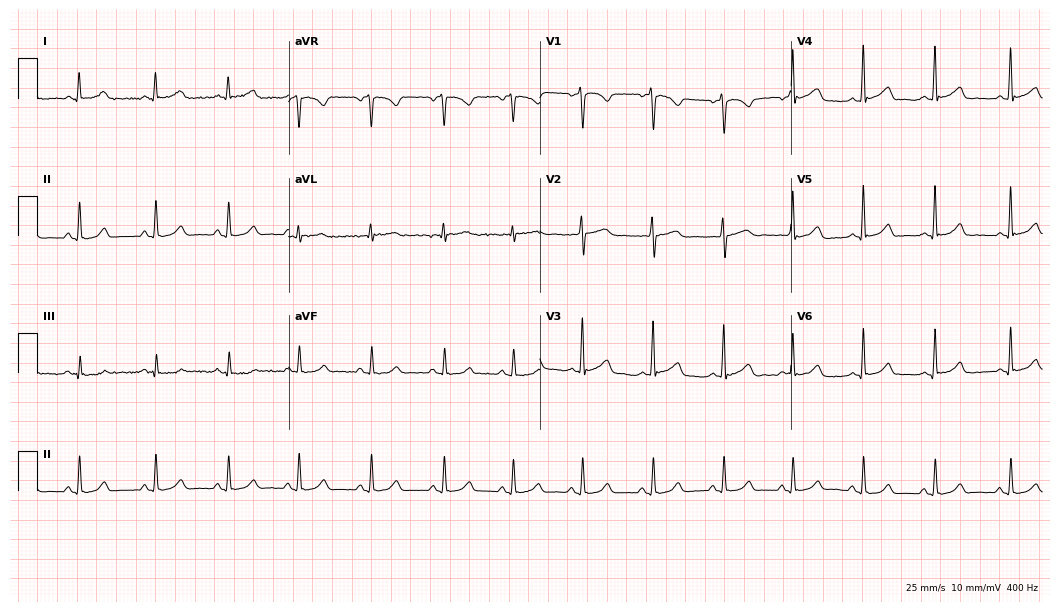
Standard 12-lead ECG recorded from a 31-year-old female patient. Read as a normal ECG.